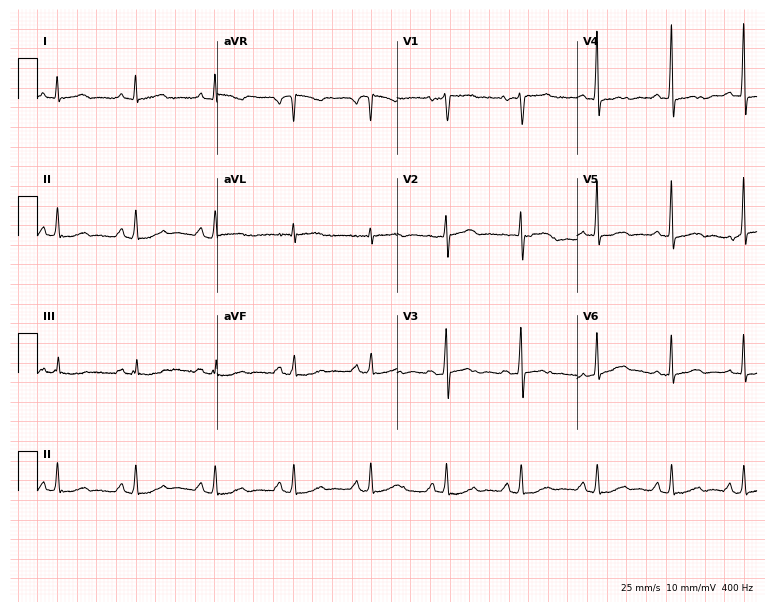
Resting 12-lead electrocardiogram. Patient: a male, 48 years old. None of these six findings is recorded: first-degree AV block, right bundle branch block, left bundle branch block, sinus bradycardia, atrial fibrillation, sinus tachycardia.